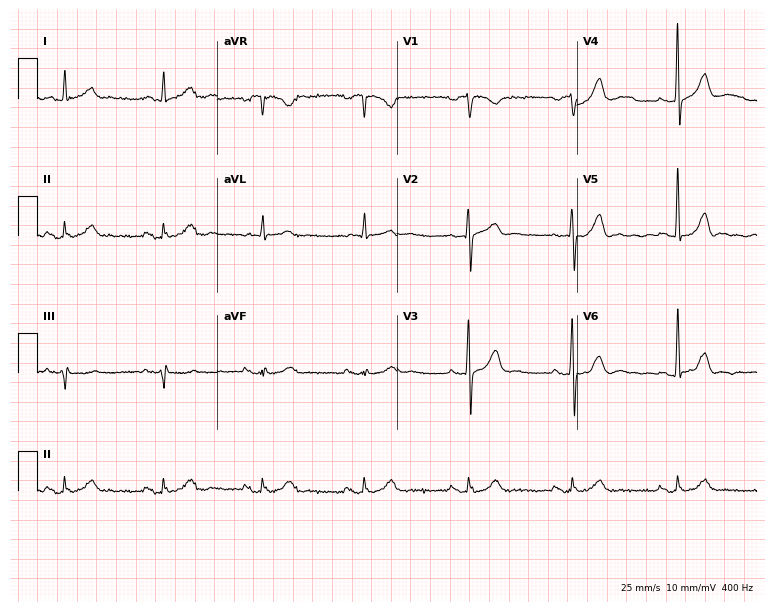
12-lead ECG from a man, 77 years old. Screened for six findings — first-degree AV block, right bundle branch block, left bundle branch block, sinus bradycardia, atrial fibrillation, sinus tachycardia — none is recorded. Only these six findings were labelled.